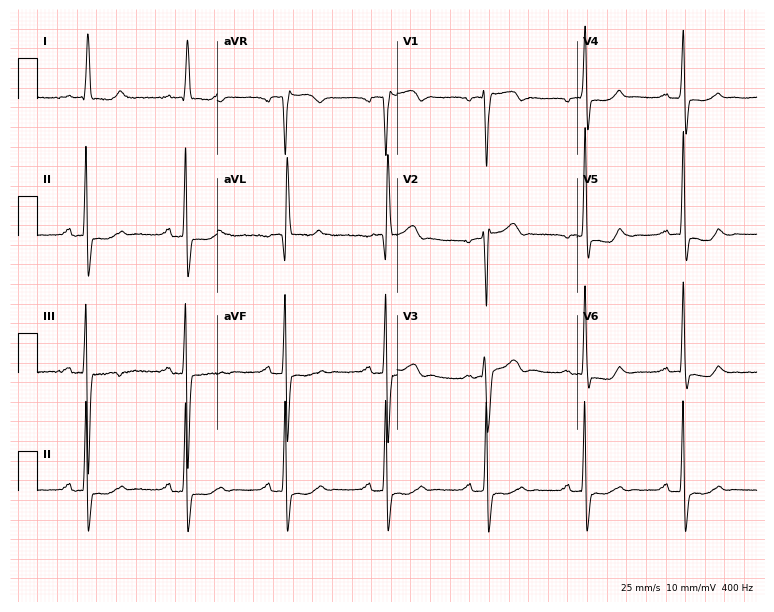
ECG — a 74-year-old woman. Screened for six findings — first-degree AV block, right bundle branch block, left bundle branch block, sinus bradycardia, atrial fibrillation, sinus tachycardia — none is recorded.